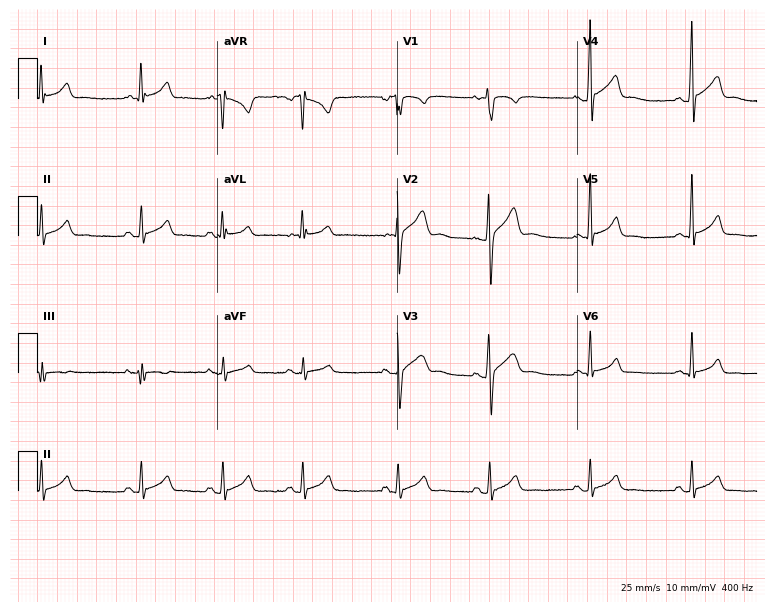
Resting 12-lead electrocardiogram (7.3-second recording at 400 Hz). Patient: a 19-year-old man. None of these six findings is recorded: first-degree AV block, right bundle branch block, left bundle branch block, sinus bradycardia, atrial fibrillation, sinus tachycardia. Other findings, if any, are not listed.